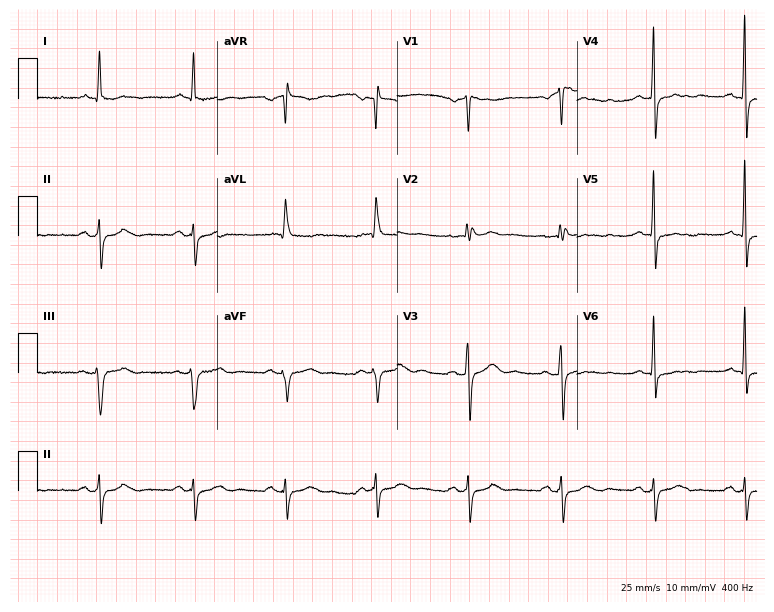
12-lead ECG from a 55-year-old male (7.3-second recording at 400 Hz). No first-degree AV block, right bundle branch block, left bundle branch block, sinus bradycardia, atrial fibrillation or sinus tachycardia recorded for this tracing. Only these six findings were labelled.